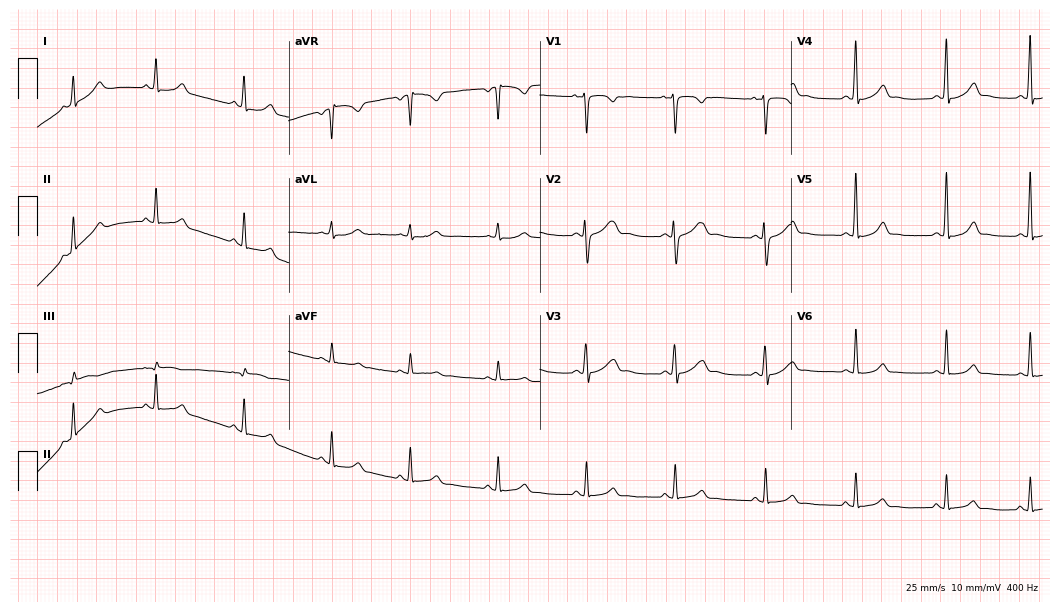
ECG (10.2-second recording at 400 Hz) — a 27-year-old female. Labelled as a normal ECG.